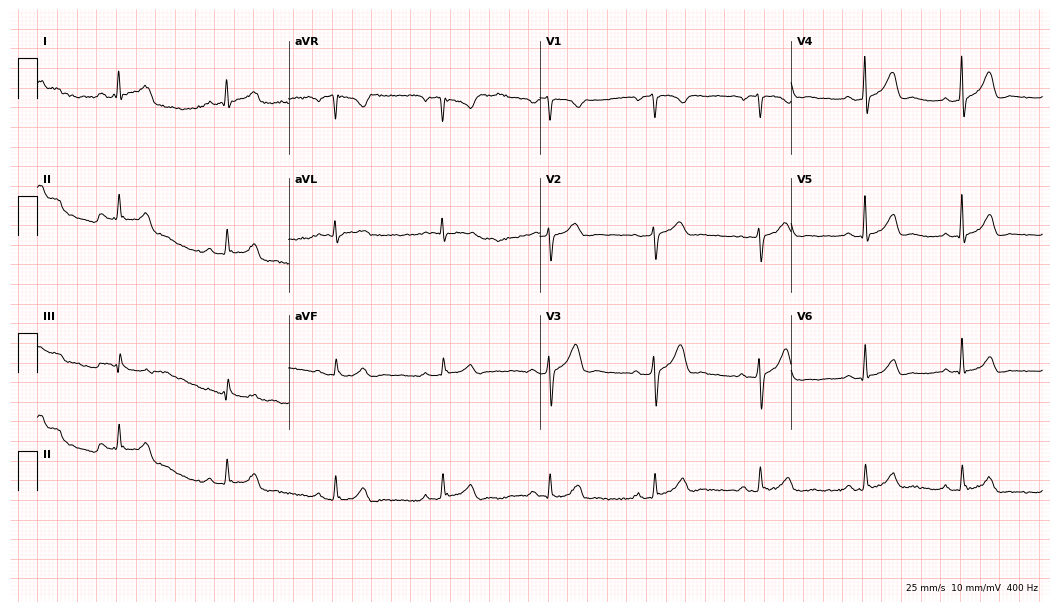
ECG (10.2-second recording at 400 Hz) — a 43-year-old female patient. Labelled as a normal ECG.